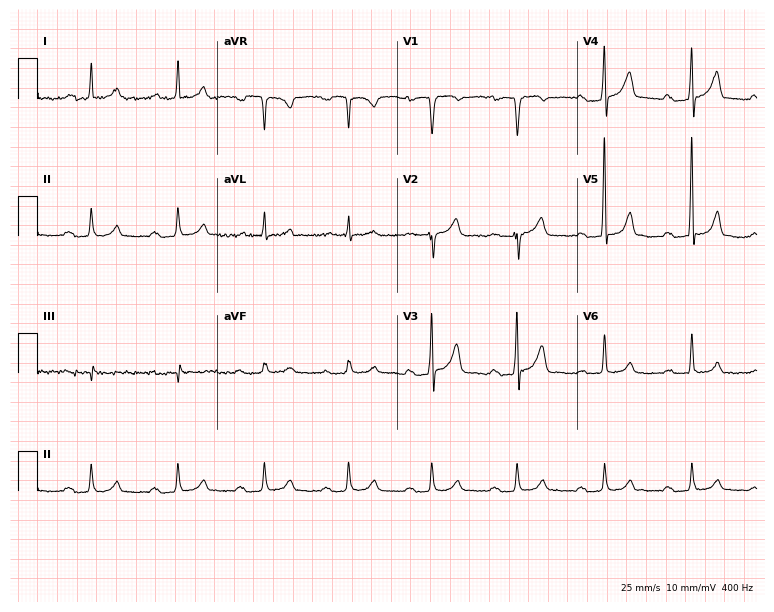
Electrocardiogram (7.3-second recording at 400 Hz), an 84-year-old male patient. Interpretation includes first-degree AV block.